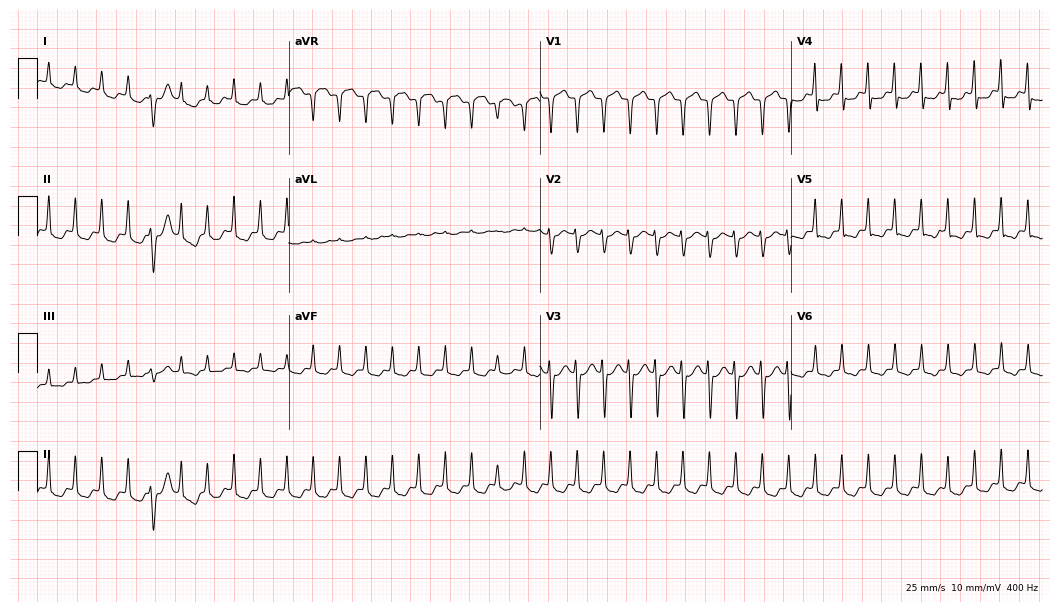
12-lead ECG from a 55-year-old female. Findings include sinus tachycardia (a sinus rate of 100 beats per minute or more).